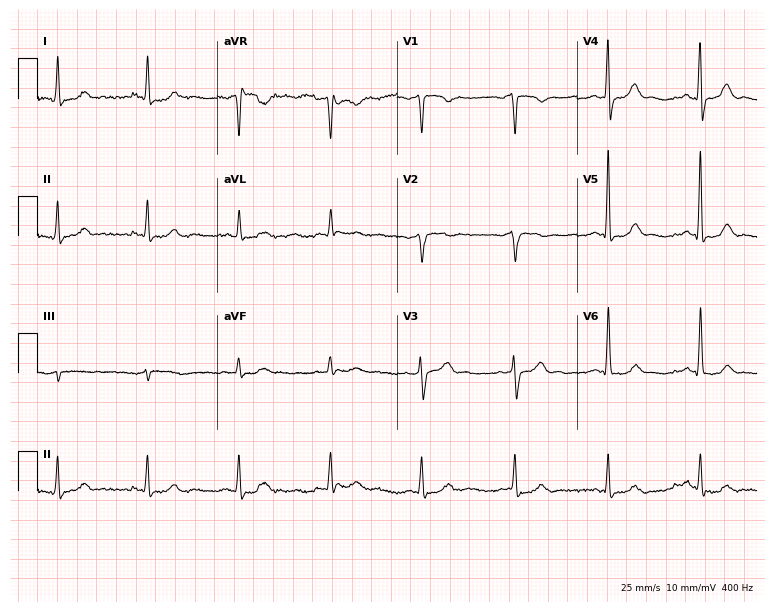
ECG (7.3-second recording at 400 Hz) — a 69-year-old male patient. Labelled as a normal ECG.